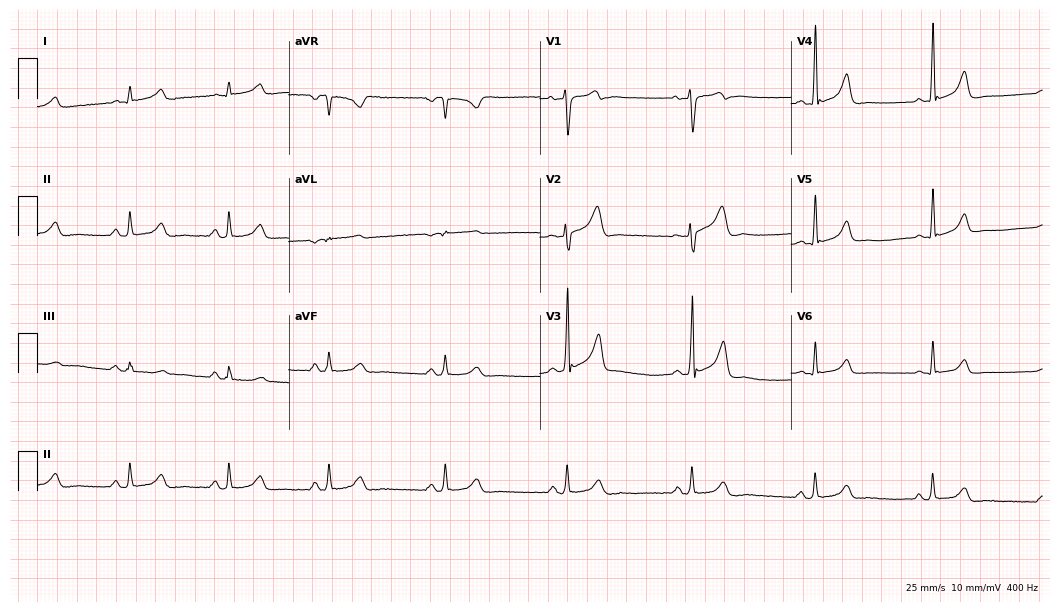
ECG (10.2-second recording at 400 Hz) — a 34-year-old male. Labelled as a normal ECG.